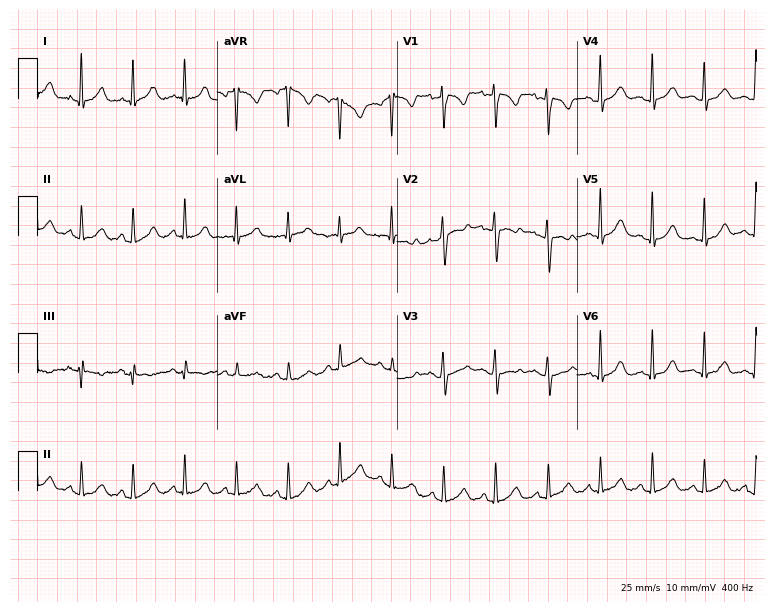
Electrocardiogram, a 28-year-old woman. Interpretation includes sinus tachycardia (a sinus rate of 100 beats per minute or more).